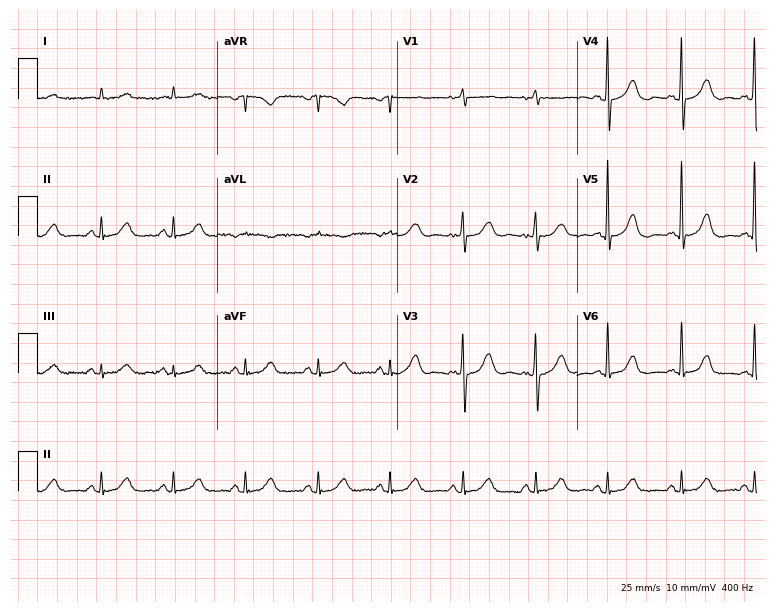
12-lead ECG from a female, 72 years old (7.3-second recording at 400 Hz). Recorded interpretation: within normal limits.